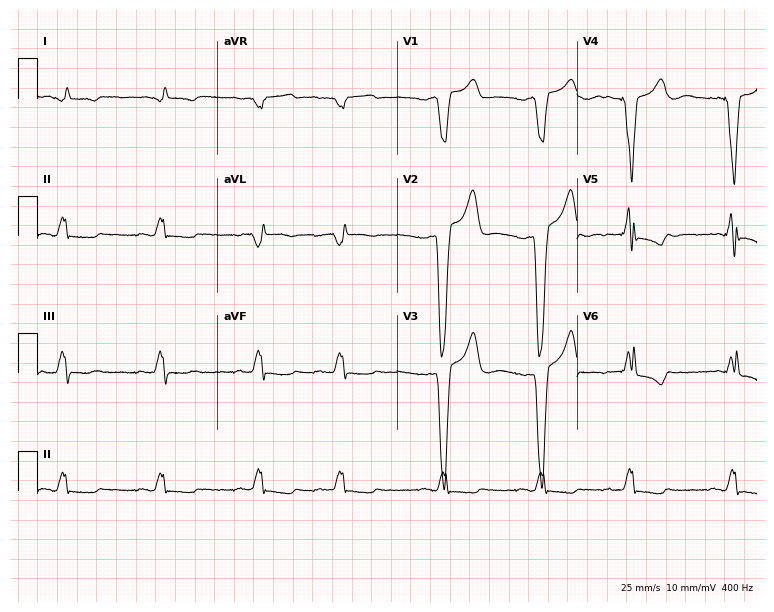
12-lead ECG from a 79-year-old male (7.3-second recording at 400 Hz). No first-degree AV block, right bundle branch block (RBBB), left bundle branch block (LBBB), sinus bradycardia, atrial fibrillation (AF) or sinus tachycardia recorded for this tracing. Findings outside these six are not listed.